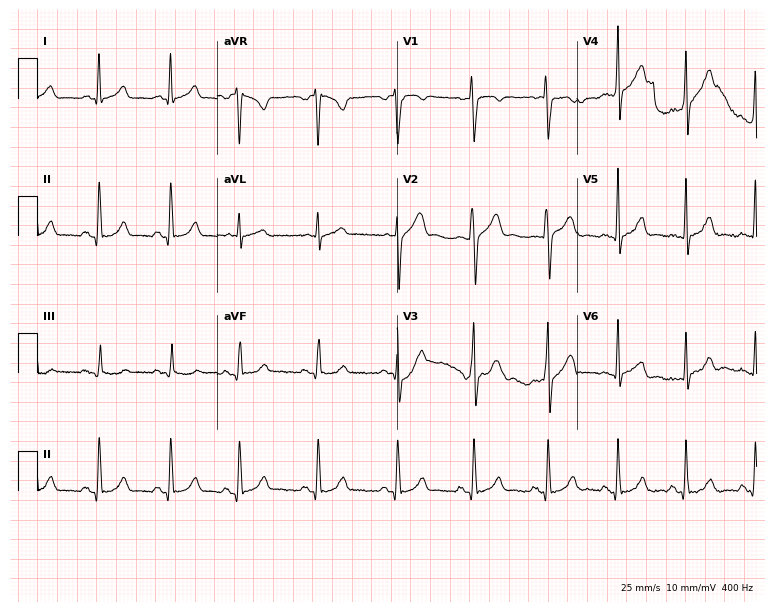
12-lead ECG from a man, 21 years old (7.3-second recording at 400 Hz). Recorded interpretation: within normal limits.